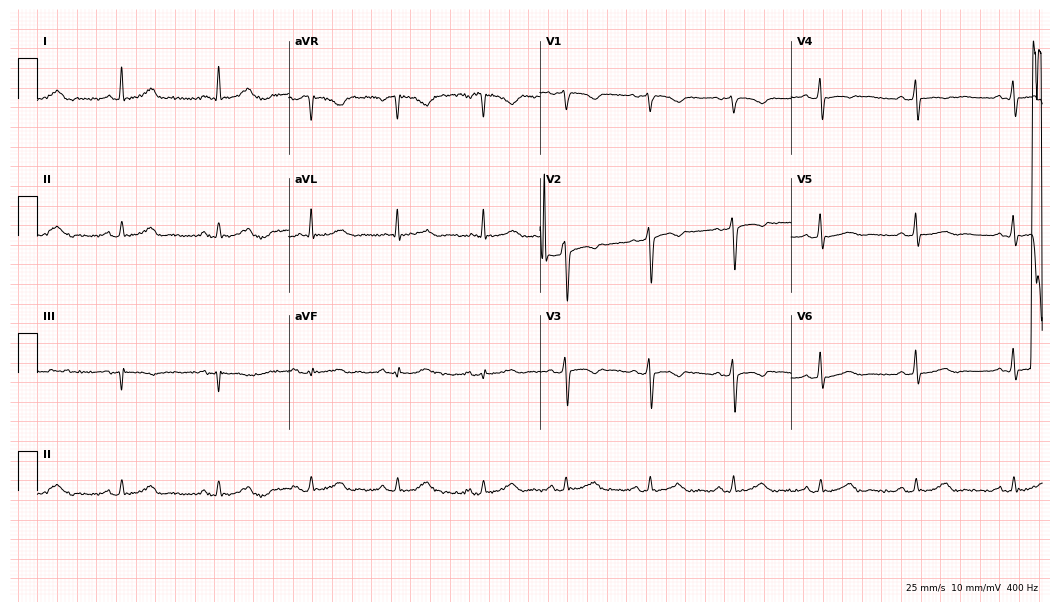
12-lead ECG from a man, 53 years old (10.2-second recording at 400 Hz). No first-degree AV block, right bundle branch block (RBBB), left bundle branch block (LBBB), sinus bradycardia, atrial fibrillation (AF) or sinus tachycardia recorded for this tracing.